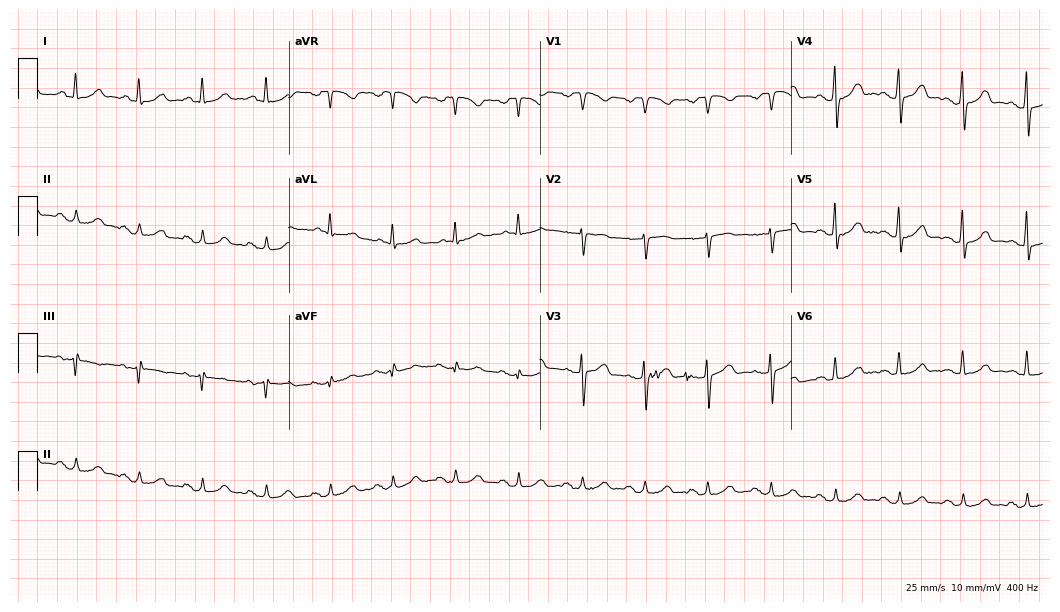
Standard 12-lead ECG recorded from a 57-year-old male patient (10.2-second recording at 400 Hz). None of these six findings is recorded: first-degree AV block, right bundle branch block, left bundle branch block, sinus bradycardia, atrial fibrillation, sinus tachycardia. Only these six findings were labelled.